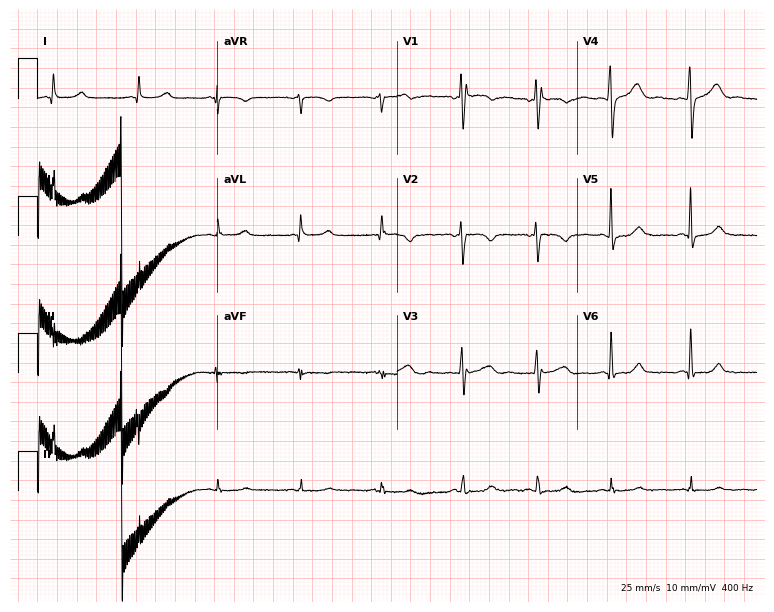
Resting 12-lead electrocardiogram. Patient: a female, 44 years old. Read as a normal ECG.